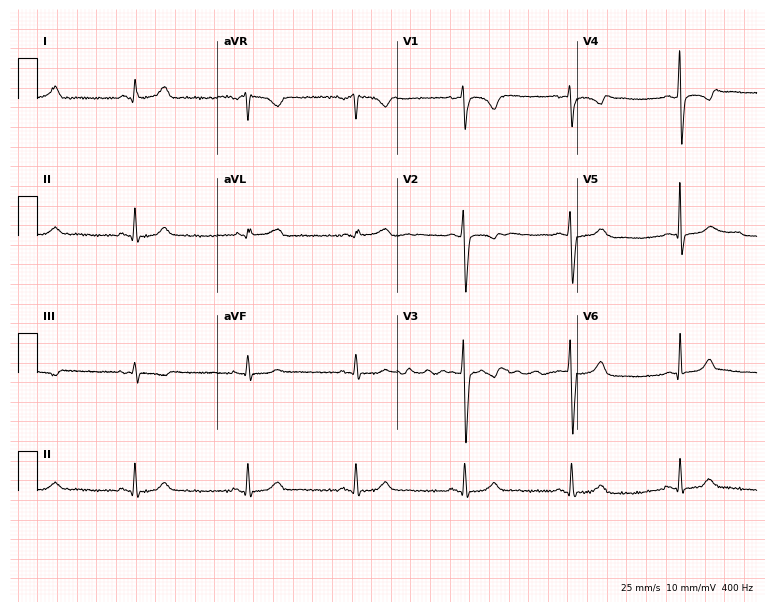
12-lead ECG (7.3-second recording at 400 Hz) from a 27-year-old woman. Labelled as a normal ECG.